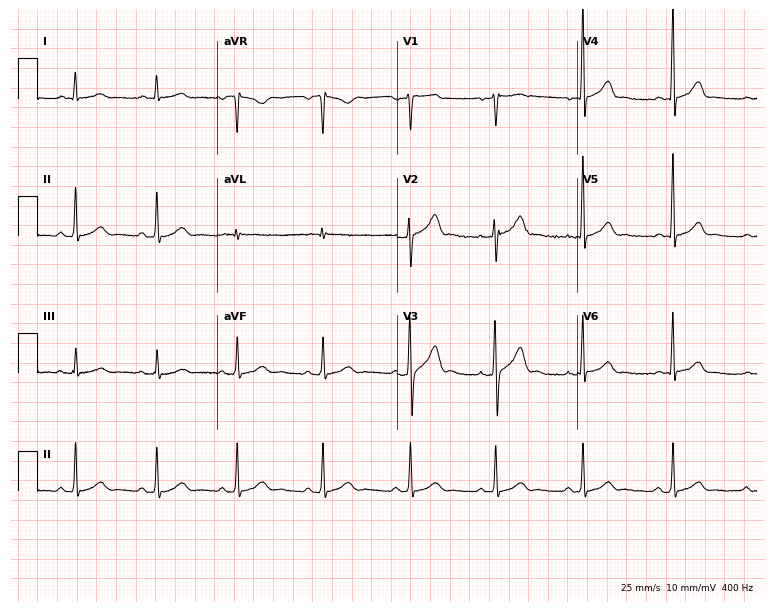
Electrocardiogram, a male, 38 years old. Overall reading on record: normal ECG.